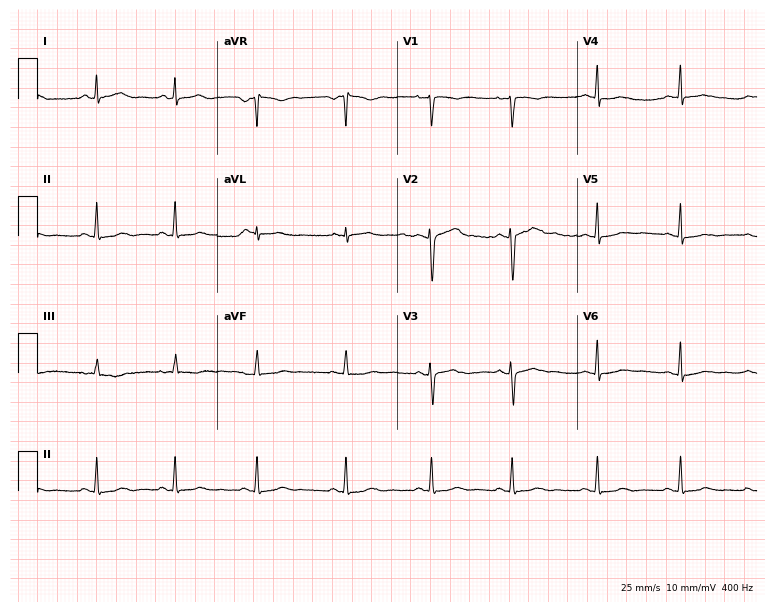
12-lead ECG from a 27-year-old woman. Screened for six findings — first-degree AV block, right bundle branch block, left bundle branch block, sinus bradycardia, atrial fibrillation, sinus tachycardia — none is recorded.